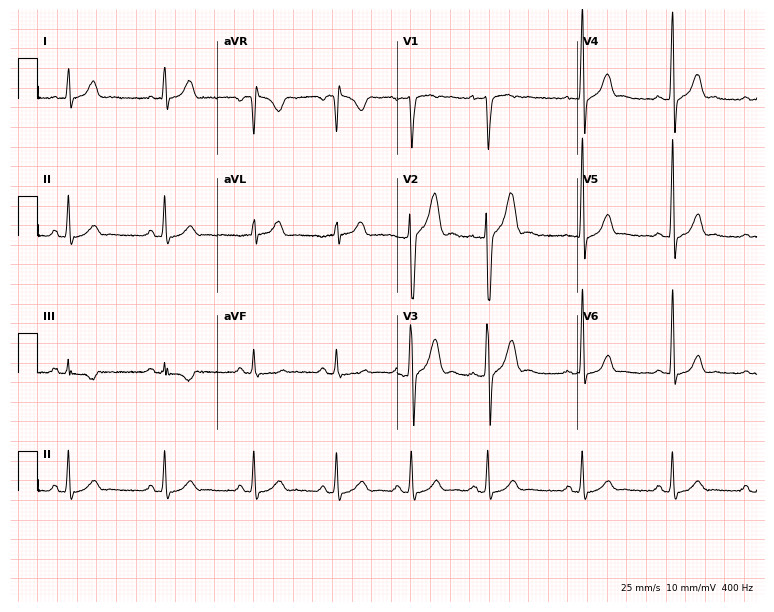
12-lead ECG from a man, 26 years old. Labelled as a normal ECG.